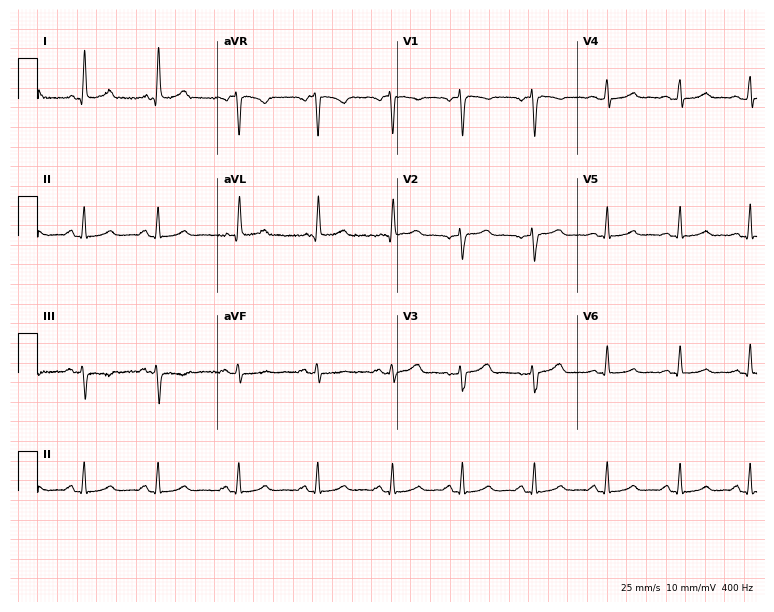
Resting 12-lead electrocardiogram (7.3-second recording at 400 Hz). Patient: a female, 37 years old. Read as a normal ECG.